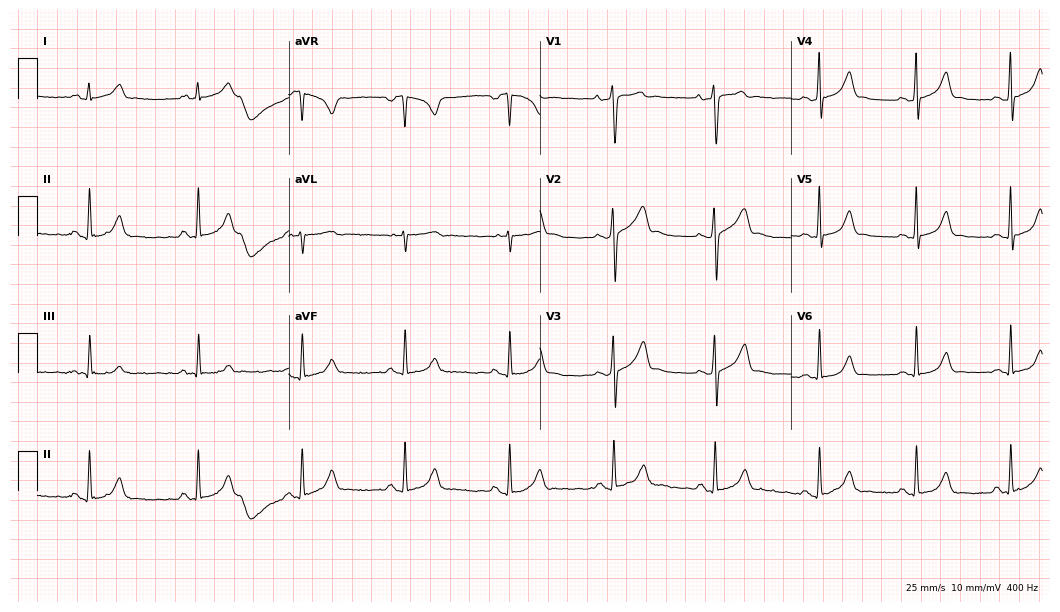
Resting 12-lead electrocardiogram. Patient: a male, 28 years old. Read as a normal ECG.